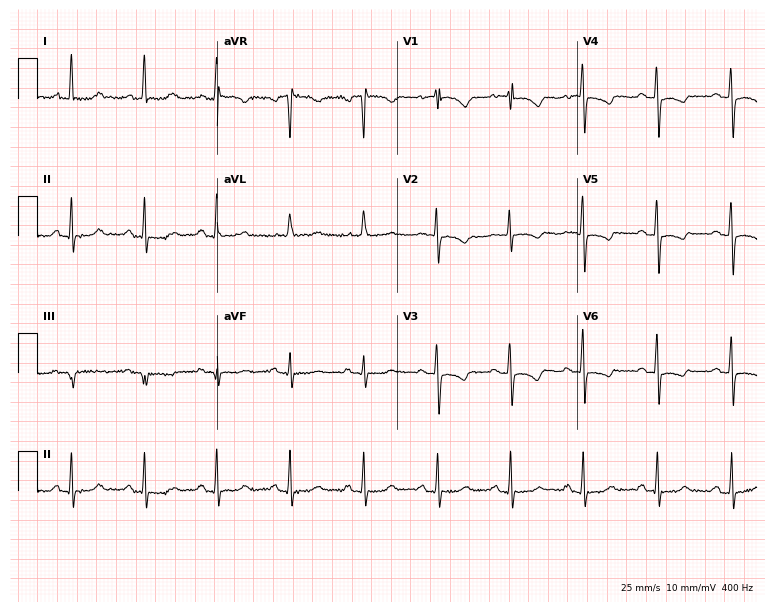
ECG — a 65-year-old woman. Screened for six findings — first-degree AV block, right bundle branch block, left bundle branch block, sinus bradycardia, atrial fibrillation, sinus tachycardia — none is recorded.